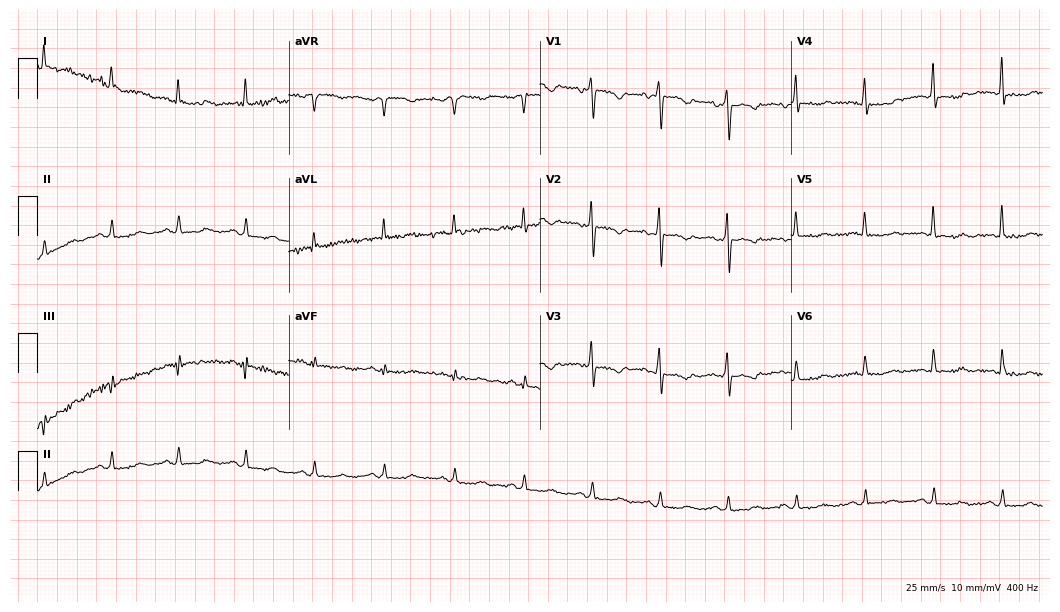
Resting 12-lead electrocardiogram. Patient: a female, 73 years old. None of these six findings is recorded: first-degree AV block, right bundle branch block, left bundle branch block, sinus bradycardia, atrial fibrillation, sinus tachycardia. Other findings, if any, are not listed.